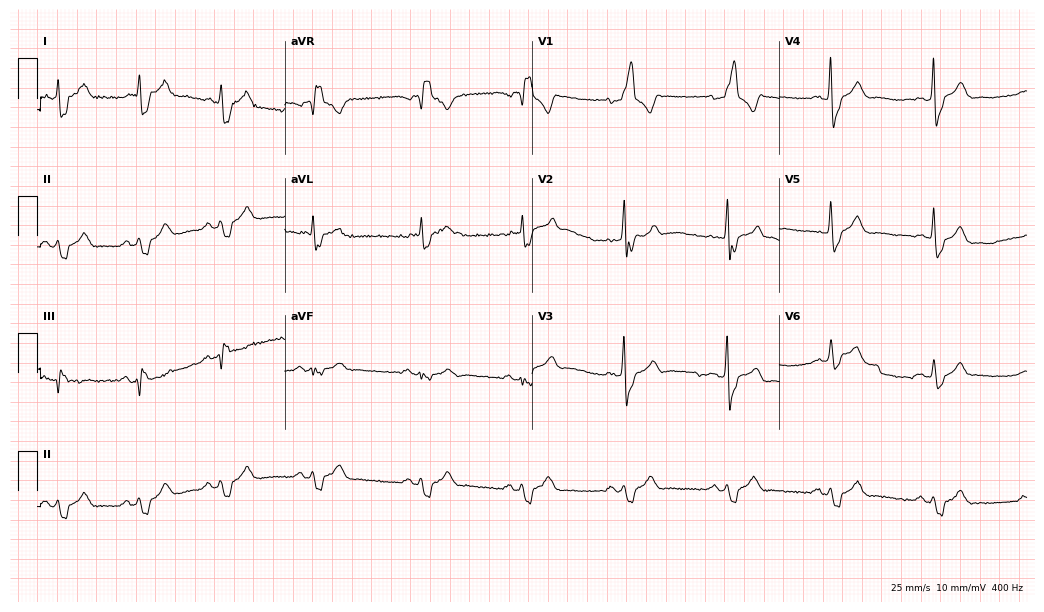
Standard 12-lead ECG recorded from a 72-year-old man. None of these six findings is recorded: first-degree AV block, right bundle branch block, left bundle branch block, sinus bradycardia, atrial fibrillation, sinus tachycardia. Other findings, if any, are not listed.